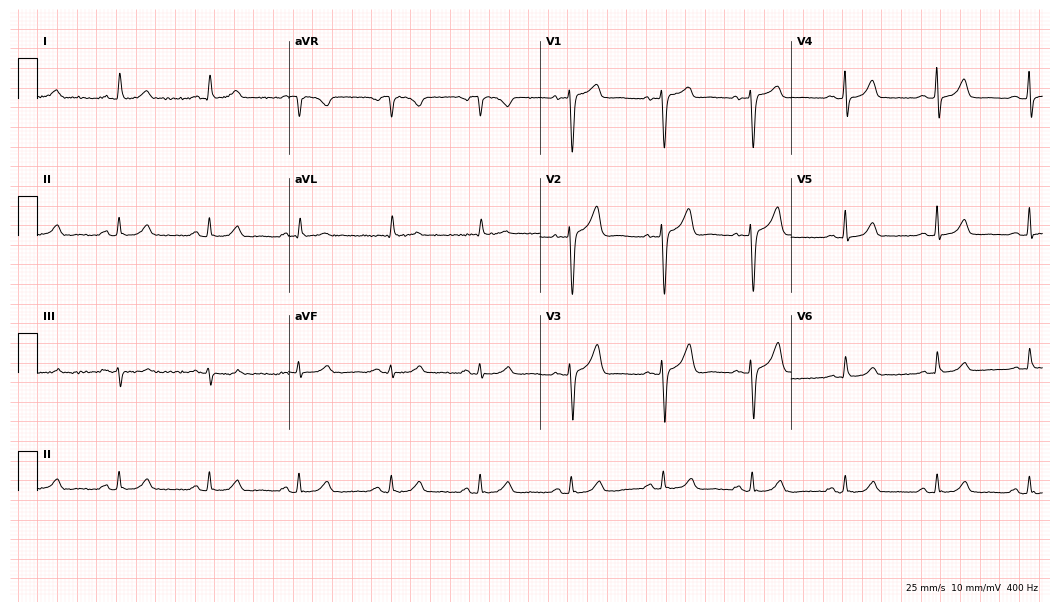
12-lead ECG (10.2-second recording at 400 Hz) from a 58-year-old woman. Screened for six findings — first-degree AV block, right bundle branch block (RBBB), left bundle branch block (LBBB), sinus bradycardia, atrial fibrillation (AF), sinus tachycardia — none is recorded.